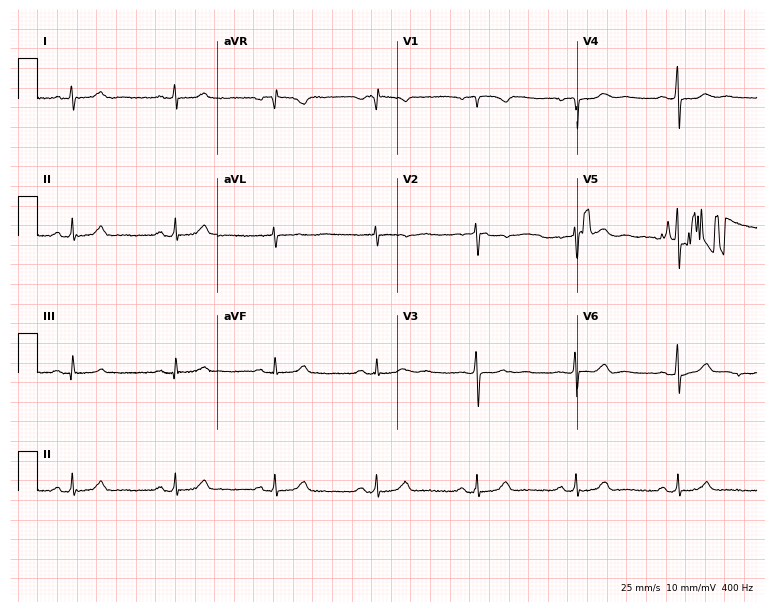
12-lead ECG from a 50-year-old female patient (7.3-second recording at 400 Hz). Recorded interpretation: within normal limits.